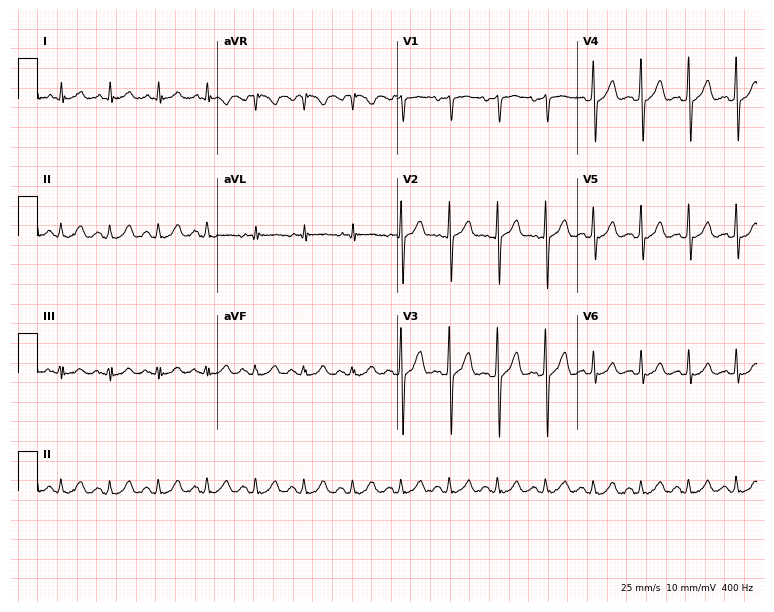
Resting 12-lead electrocardiogram (7.3-second recording at 400 Hz). Patient: a male, 55 years old. The tracing shows sinus tachycardia (a sinus rate of 100 beats per minute or more).